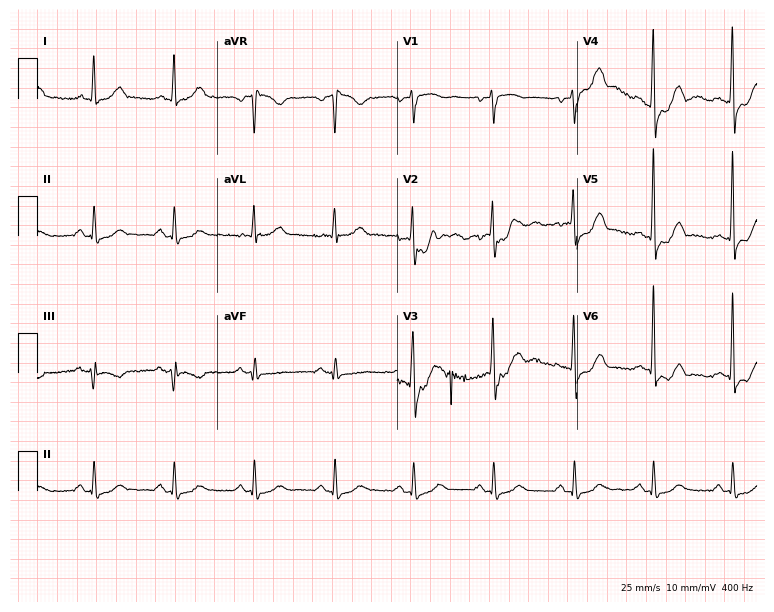
Resting 12-lead electrocardiogram. Patient: a 64-year-old man. None of these six findings is recorded: first-degree AV block, right bundle branch block, left bundle branch block, sinus bradycardia, atrial fibrillation, sinus tachycardia.